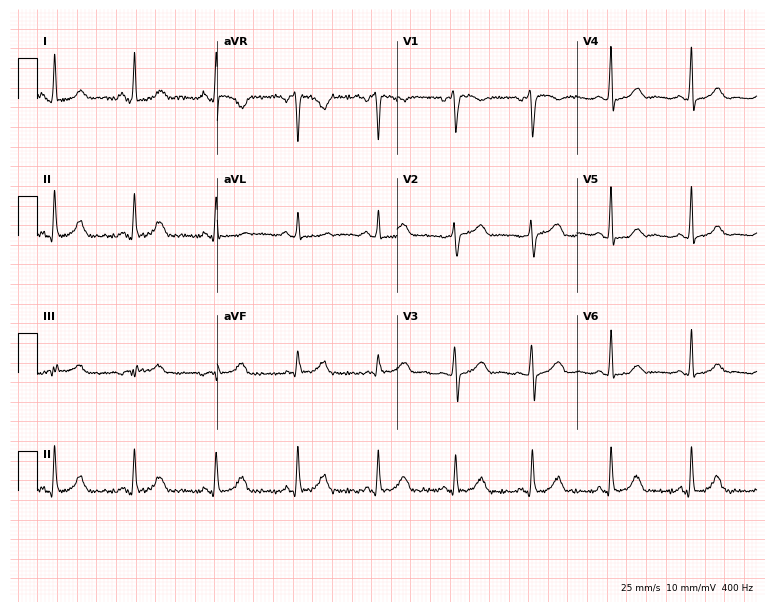
Electrocardiogram, a female patient, 52 years old. Overall reading on record: normal ECG.